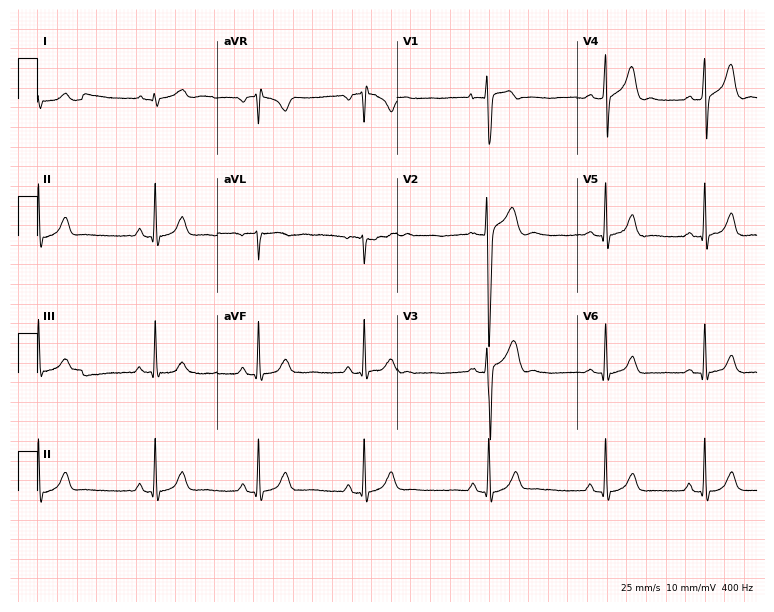
12-lead ECG (7.3-second recording at 400 Hz) from a male, 20 years old. Labelled as a normal ECG.